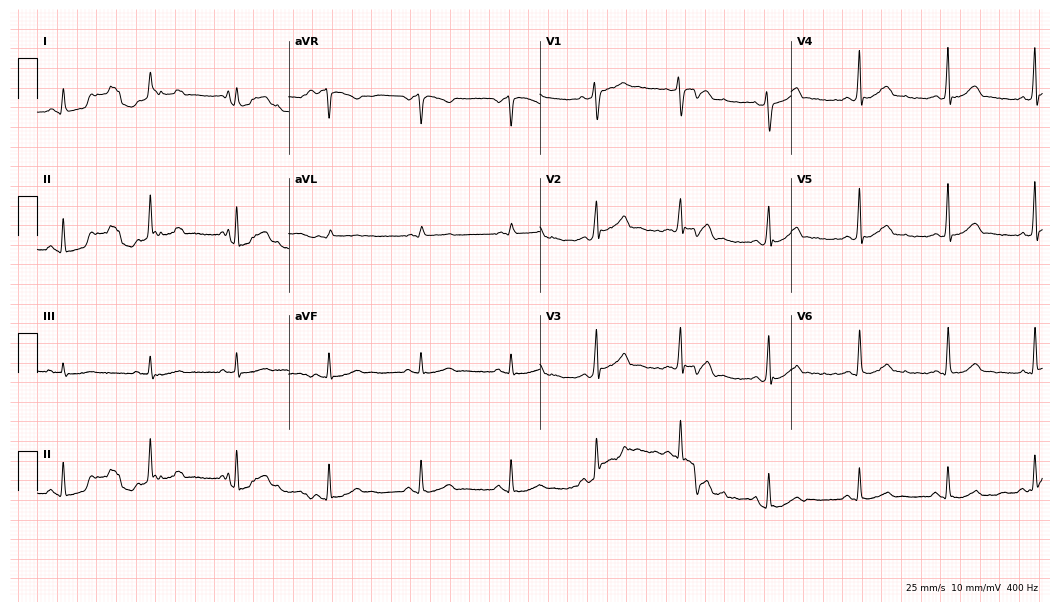
12-lead ECG from a man, 37 years old. Labelled as a normal ECG.